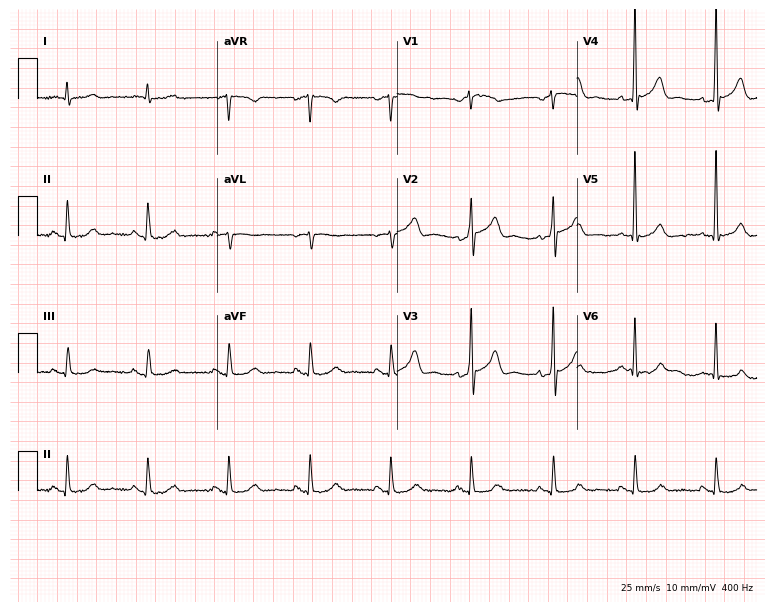
12-lead ECG from a man, 70 years old. Recorded interpretation: within normal limits.